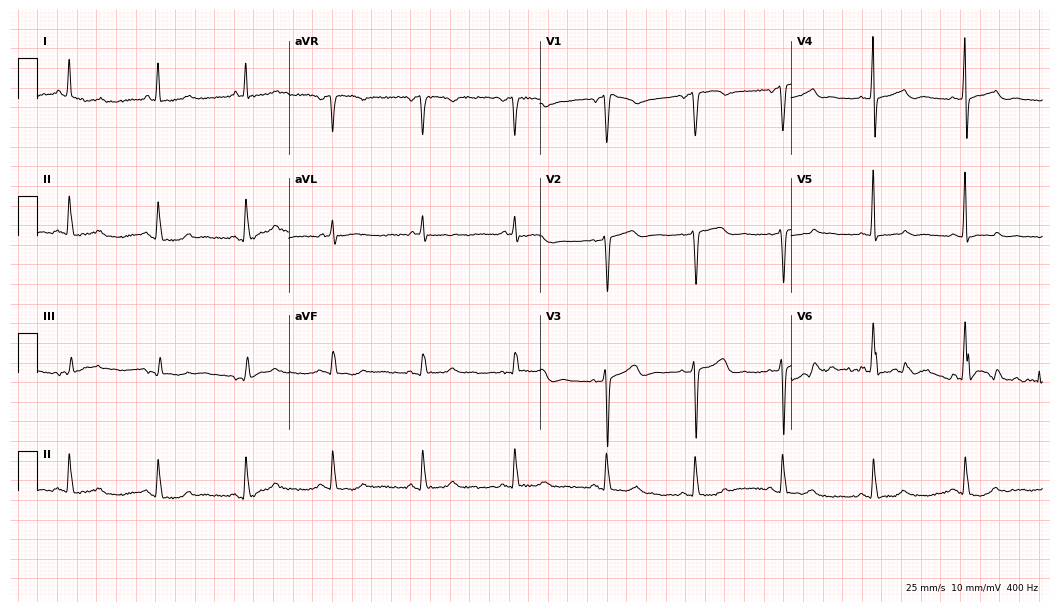
12-lead ECG from a 52-year-old female patient. Screened for six findings — first-degree AV block, right bundle branch block, left bundle branch block, sinus bradycardia, atrial fibrillation, sinus tachycardia — none is recorded. Other findings, if any, are not listed.